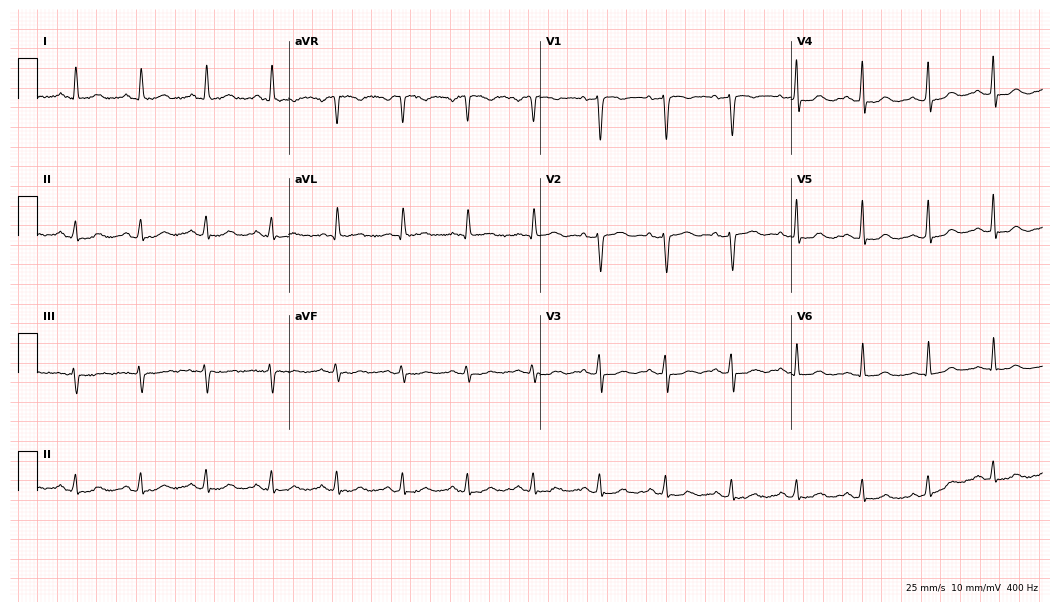
12-lead ECG from a woman, 57 years old. No first-degree AV block, right bundle branch block (RBBB), left bundle branch block (LBBB), sinus bradycardia, atrial fibrillation (AF) or sinus tachycardia recorded for this tracing.